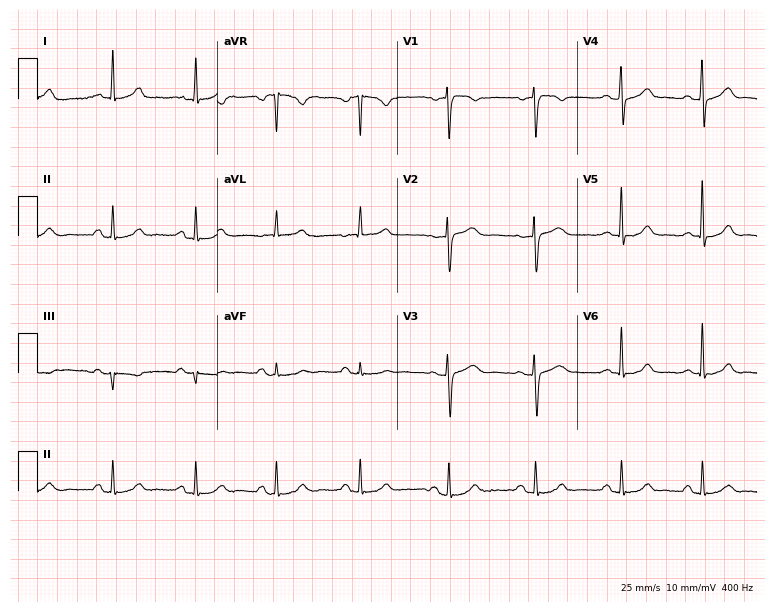
Resting 12-lead electrocardiogram (7.3-second recording at 400 Hz). Patient: a female, 43 years old. None of these six findings is recorded: first-degree AV block, right bundle branch block (RBBB), left bundle branch block (LBBB), sinus bradycardia, atrial fibrillation (AF), sinus tachycardia. Findings outside these six are not listed.